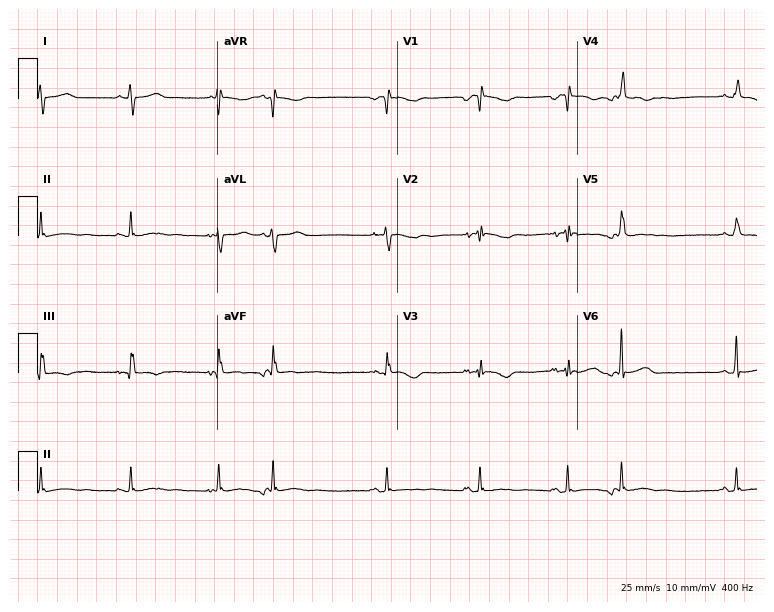
12-lead ECG from a female patient, 27 years old. Screened for six findings — first-degree AV block, right bundle branch block, left bundle branch block, sinus bradycardia, atrial fibrillation, sinus tachycardia — none is recorded.